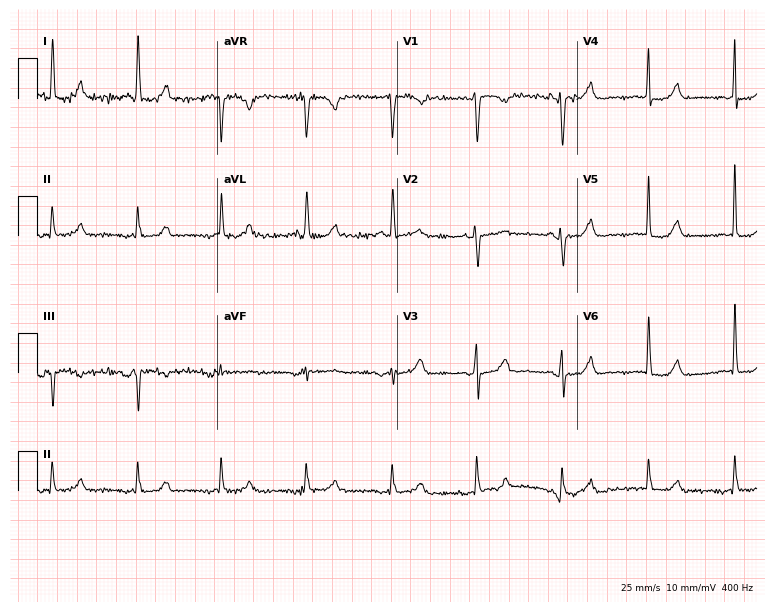
Standard 12-lead ECG recorded from a 78-year-old female. Read as a normal ECG.